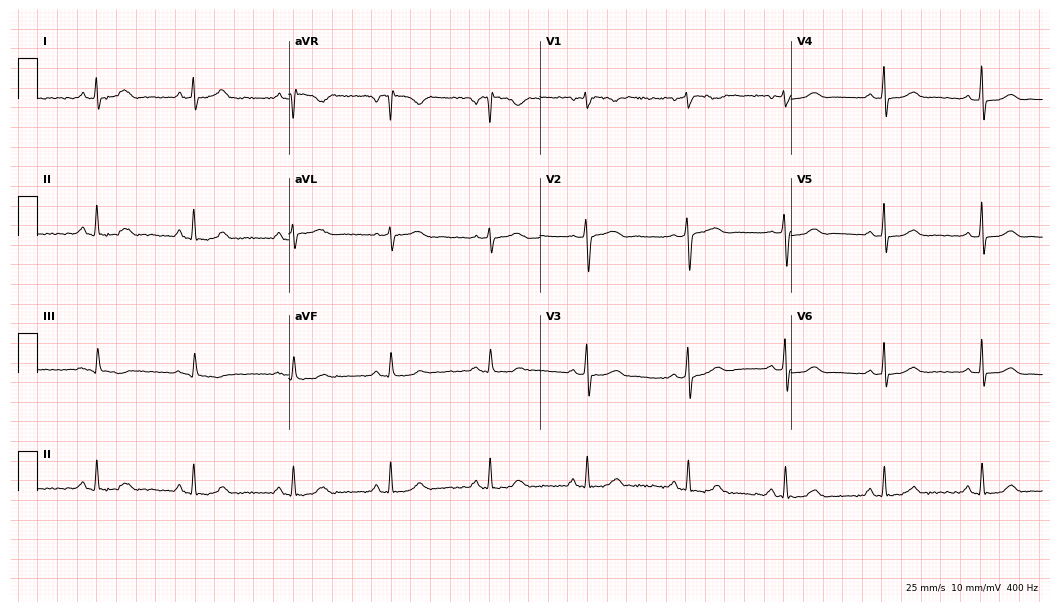
12-lead ECG from a woman, 55 years old. Labelled as a normal ECG.